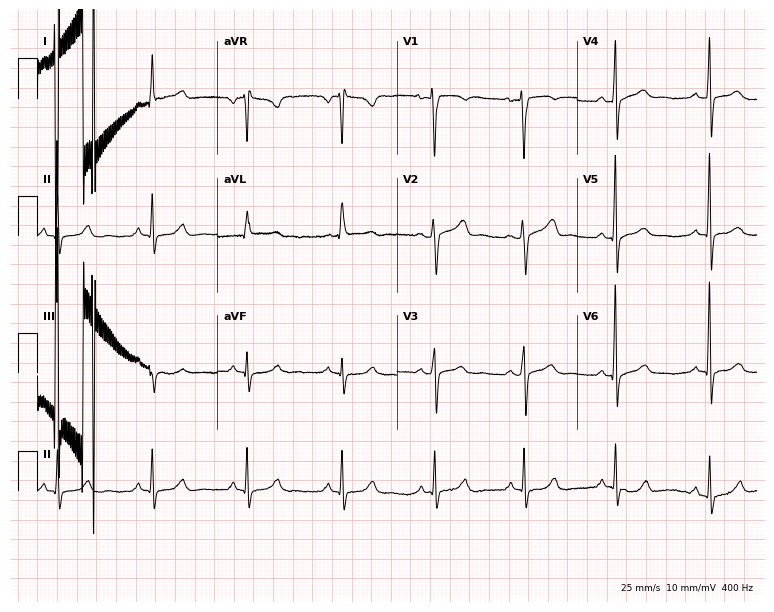
12-lead ECG (7.3-second recording at 400 Hz) from a 46-year-old woman. Screened for six findings — first-degree AV block, right bundle branch block, left bundle branch block, sinus bradycardia, atrial fibrillation, sinus tachycardia — none is recorded. Other findings, if any, are not listed.